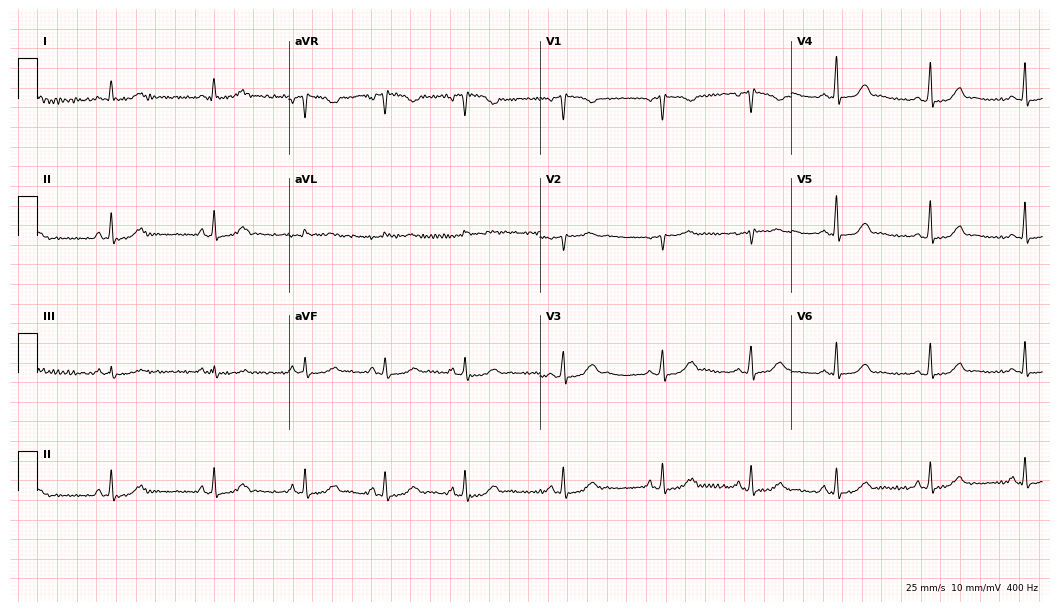
ECG (10.2-second recording at 400 Hz) — a 40-year-old female. Labelled as a normal ECG.